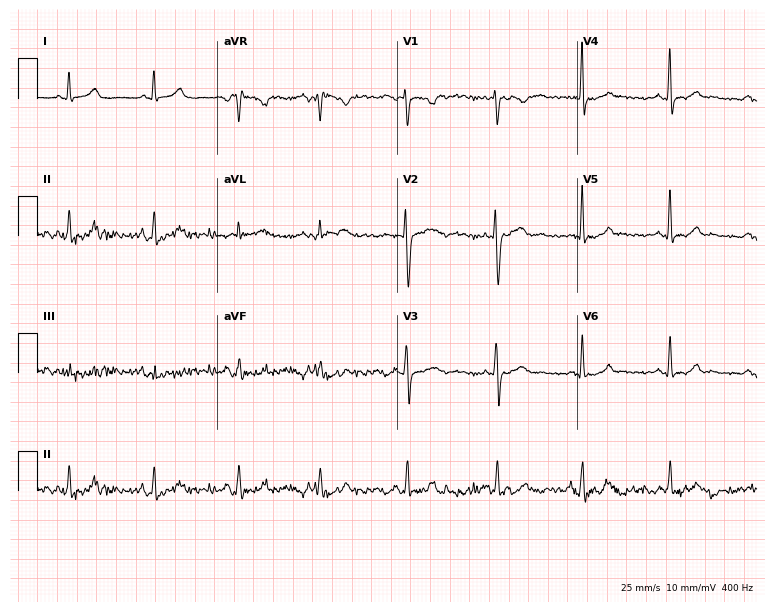
12-lead ECG (7.3-second recording at 400 Hz) from a woman, 31 years old. Labelled as a normal ECG.